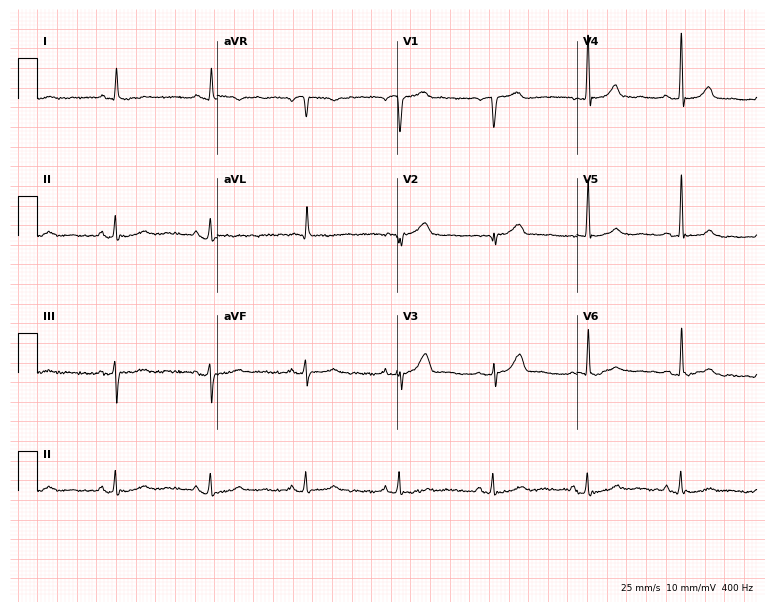
Standard 12-lead ECG recorded from a 79-year-old male patient. None of these six findings is recorded: first-degree AV block, right bundle branch block, left bundle branch block, sinus bradycardia, atrial fibrillation, sinus tachycardia. Findings outside these six are not listed.